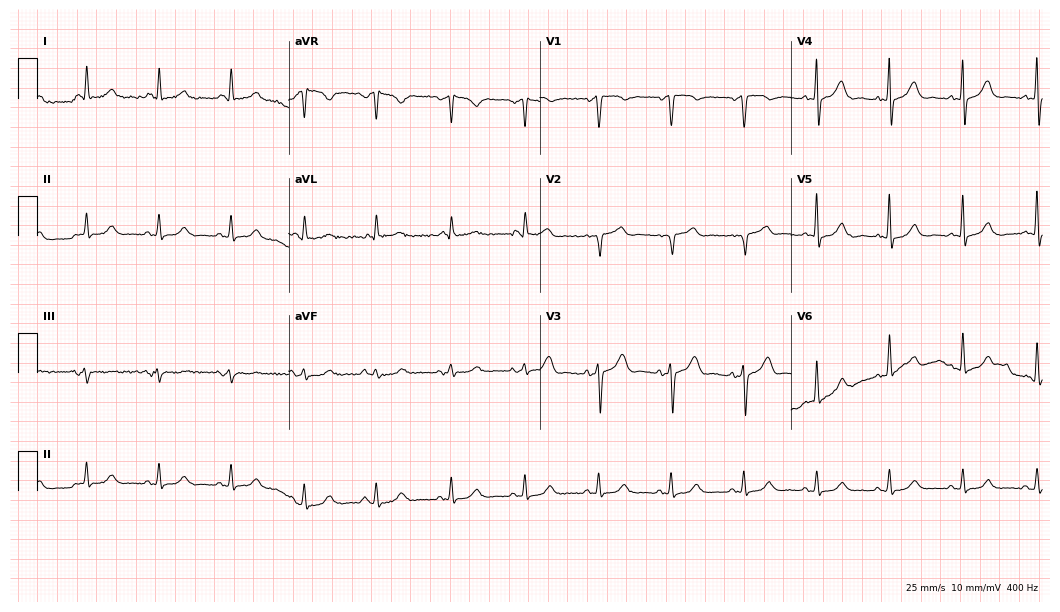
Standard 12-lead ECG recorded from a 61-year-old man. Read as a normal ECG.